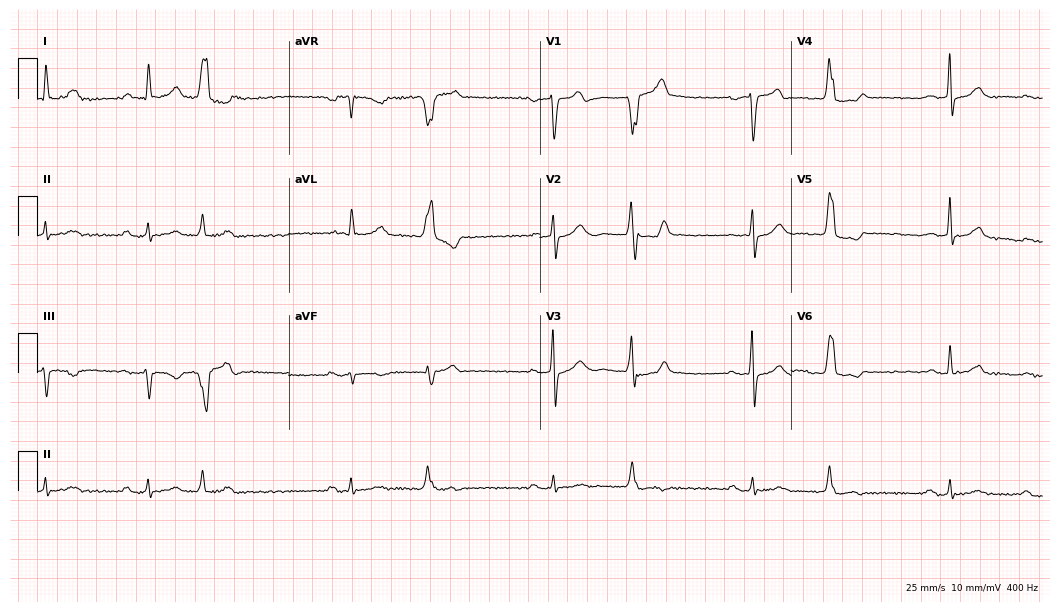
12-lead ECG from a male, 76 years old. Recorded interpretation: within normal limits.